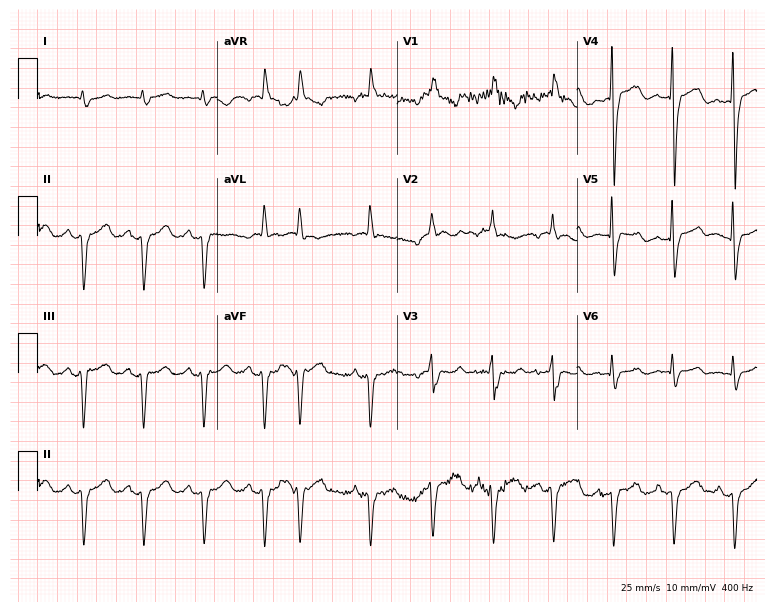
Resting 12-lead electrocardiogram (7.3-second recording at 400 Hz). Patient: a female, 84 years old. None of these six findings is recorded: first-degree AV block, right bundle branch block, left bundle branch block, sinus bradycardia, atrial fibrillation, sinus tachycardia. Other findings, if any, are not listed.